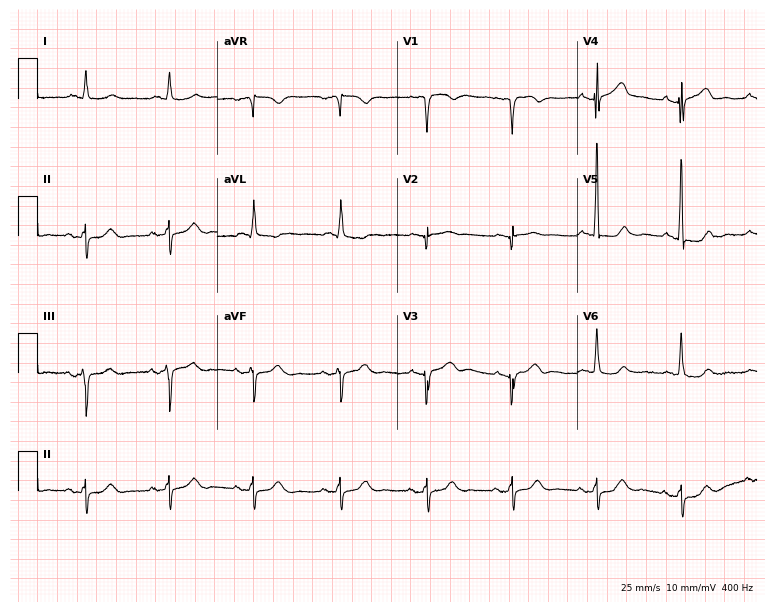
12-lead ECG (7.3-second recording at 400 Hz) from a 57-year-old man. Screened for six findings — first-degree AV block, right bundle branch block, left bundle branch block, sinus bradycardia, atrial fibrillation, sinus tachycardia — none is recorded. Other findings, if any, are not listed.